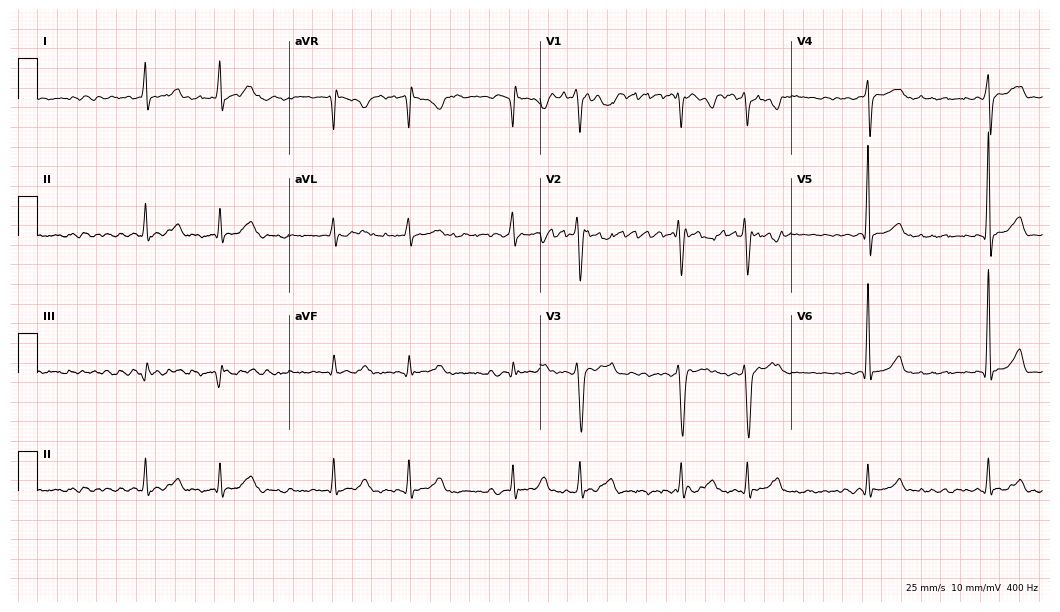
12-lead ECG from a 32-year-old man (10.2-second recording at 400 Hz). Shows atrial fibrillation (AF).